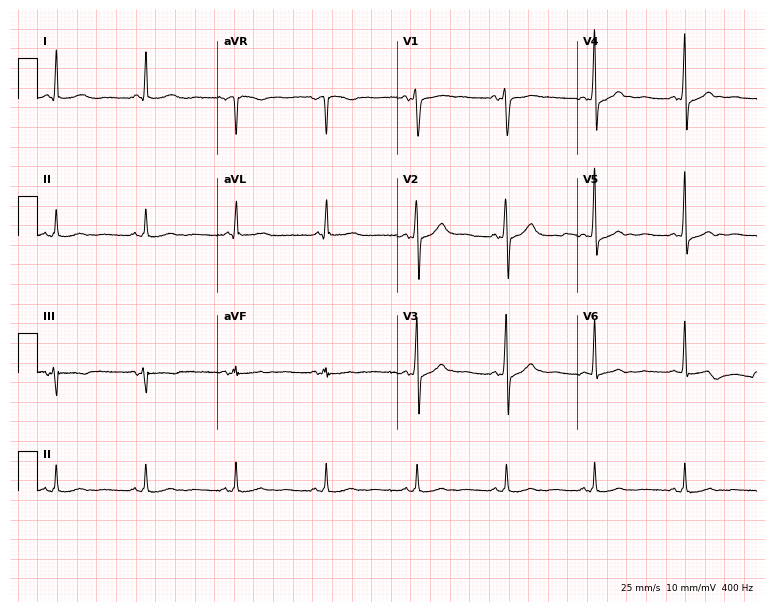
Electrocardiogram, a male patient, 49 years old. Overall reading on record: normal ECG.